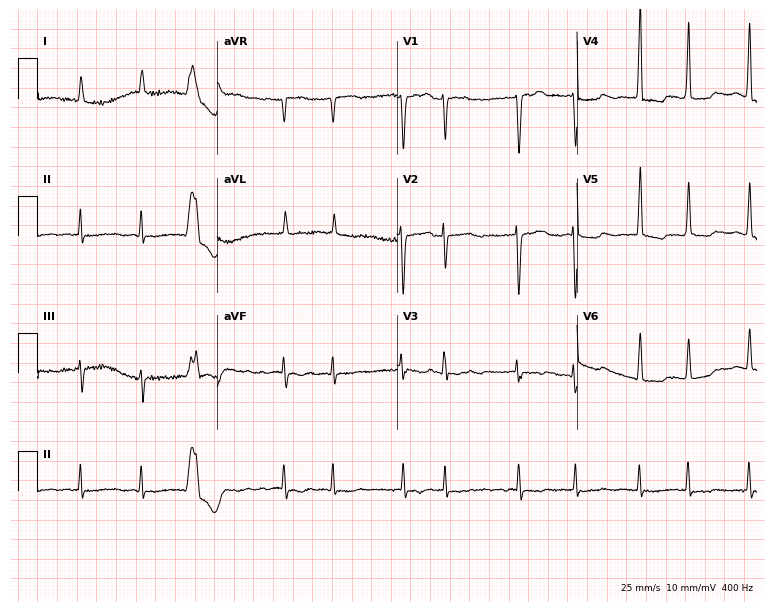
ECG — a man, 84 years old. Findings include atrial fibrillation.